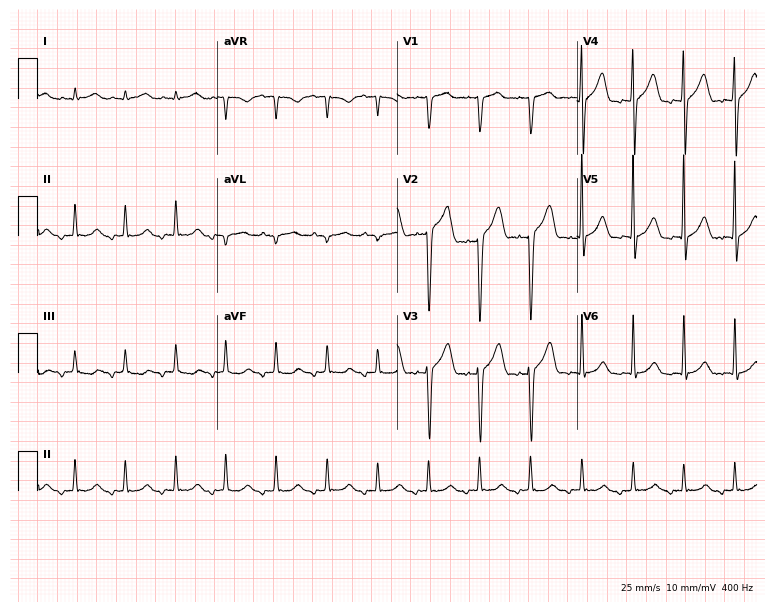
12-lead ECG from a woman, 76 years old (7.3-second recording at 400 Hz). Shows sinus tachycardia (a sinus rate of 100 beats per minute or more).